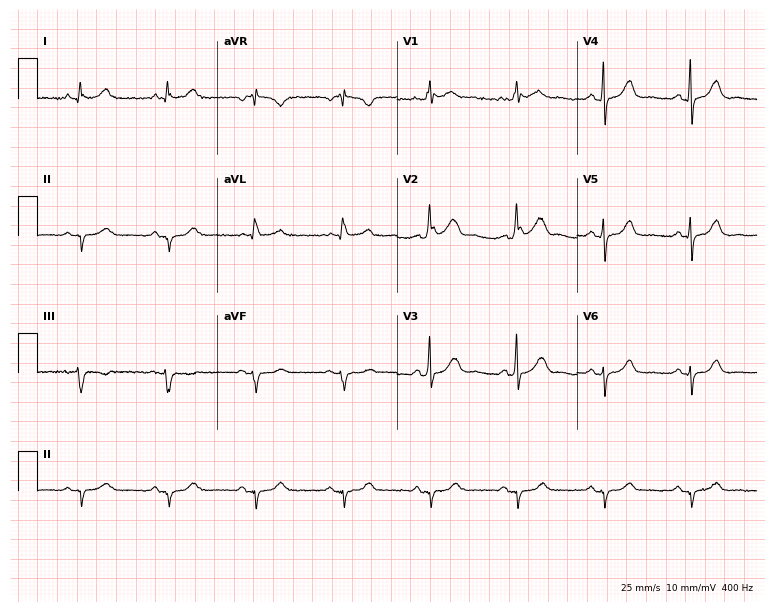
12-lead ECG (7.3-second recording at 400 Hz) from a female patient, 64 years old. Screened for six findings — first-degree AV block, right bundle branch block, left bundle branch block, sinus bradycardia, atrial fibrillation, sinus tachycardia — none is recorded.